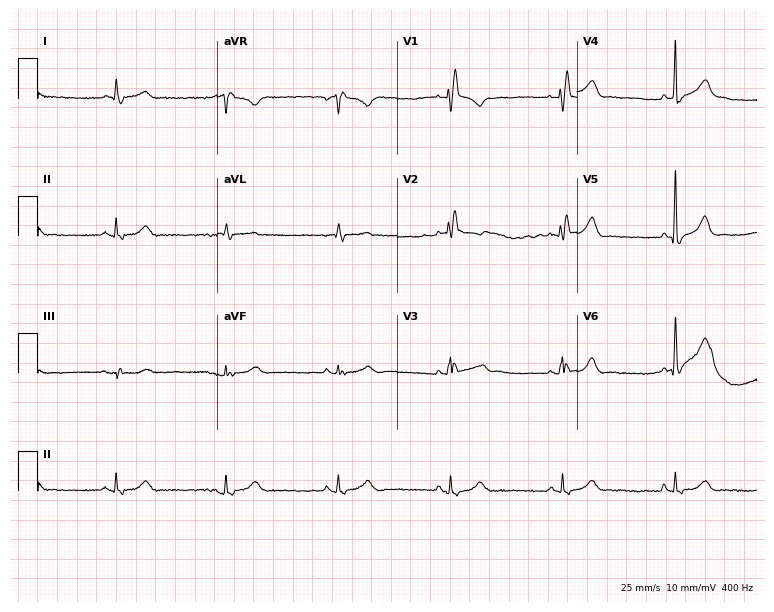
Resting 12-lead electrocardiogram (7.3-second recording at 400 Hz). Patient: a 63-year-old man. None of these six findings is recorded: first-degree AV block, right bundle branch block (RBBB), left bundle branch block (LBBB), sinus bradycardia, atrial fibrillation (AF), sinus tachycardia. Only these six findings were labelled.